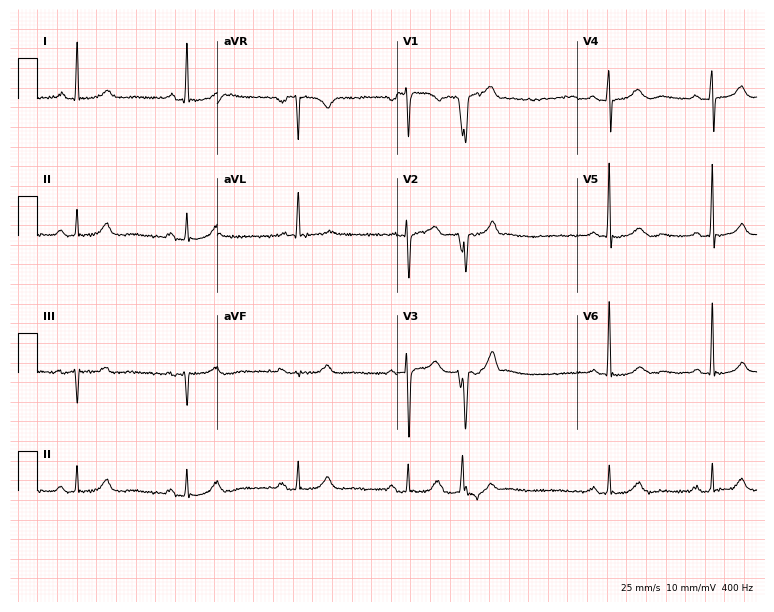
Standard 12-lead ECG recorded from a woman, 69 years old (7.3-second recording at 400 Hz). None of these six findings is recorded: first-degree AV block, right bundle branch block, left bundle branch block, sinus bradycardia, atrial fibrillation, sinus tachycardia. Only these six findings were labelled.